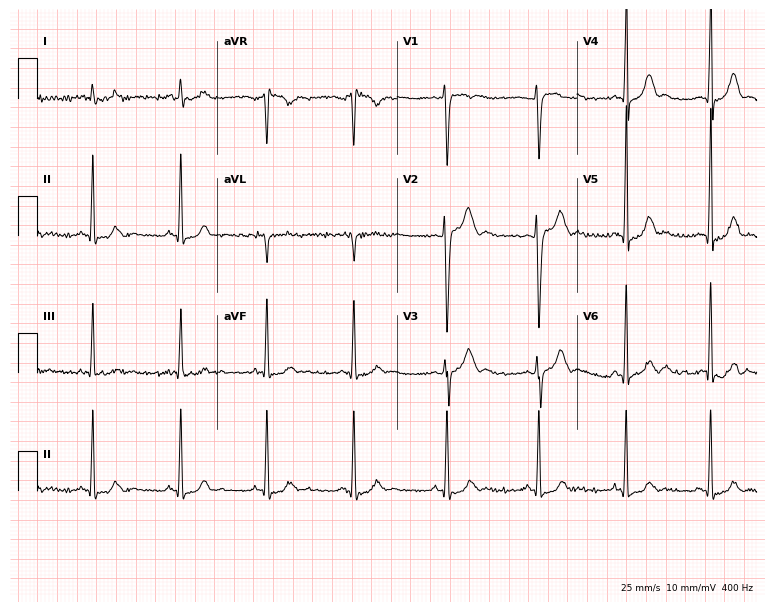
ECG (7.3-second recording at 400 Hz) — a male patient, 18 years old. Screened for six findings — first-degree AV block, right bundle branch block, left bundle branch block, sinus bradycardia, atrial fibrillation, sinus tachycardia — none is recorded.